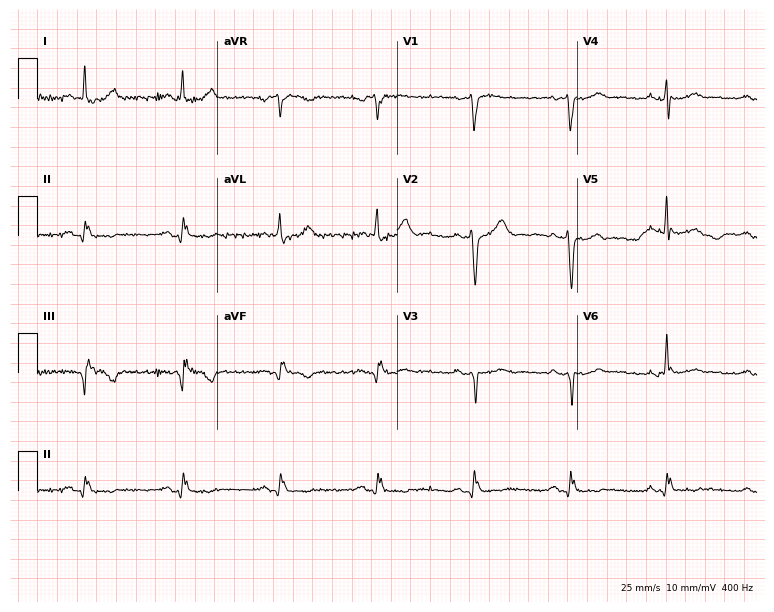
Standard 12-lead ECG recorded from a male, 61 years old. None of these six findings is recorded: first-degree AV block, right bundle branch block, left bundle branch block, sinus bradycardia, atrial fibrillation, sinus tachycardia.